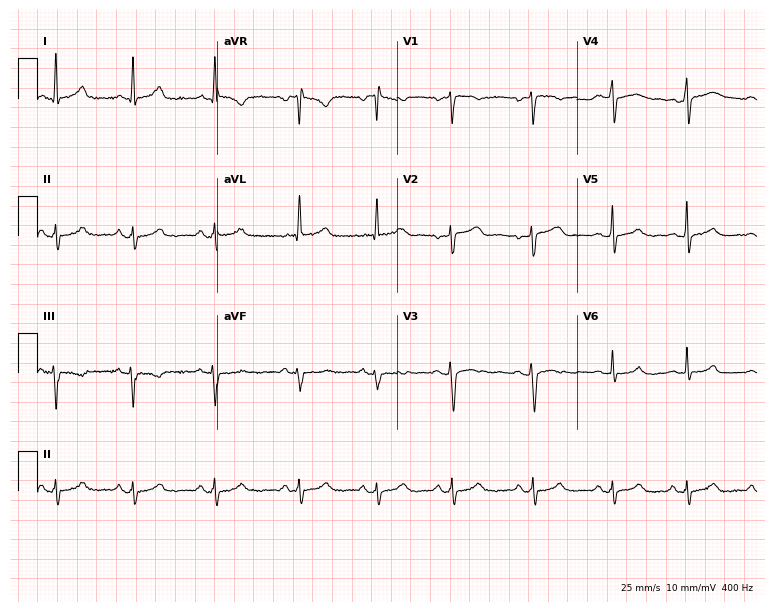
Standard 12-lead ECG recorded from a woman, 37 years old. None of these six findings is recorded: first-degree AV block, right bundle branch block, left bundle branch block, sinus bradycardia, atrial fibrillation, sinus tachycardia.